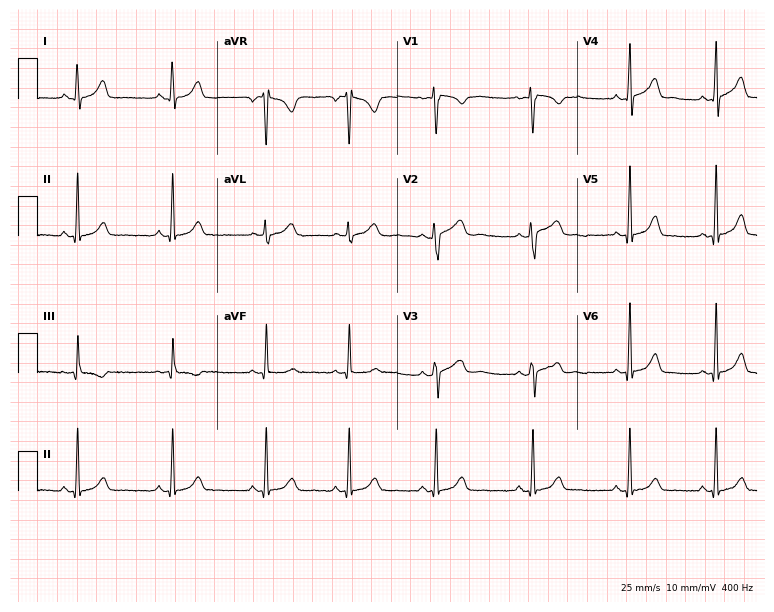
Resting 12-lead electrocardiogram (7.3-second recording at 400 Hz). Patient: a woman, 18 years old. Read as a normal ECG.